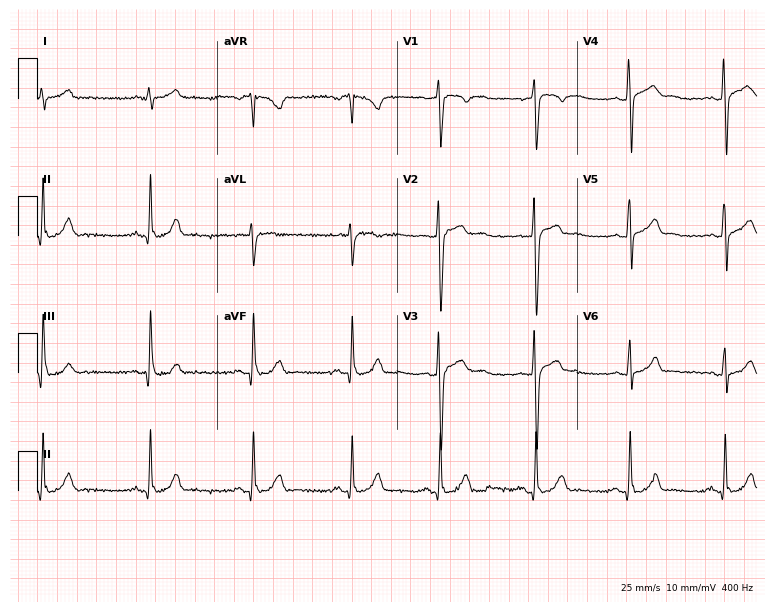
ECG — a 30-year-old male patient. Labelled as a normal ECG.